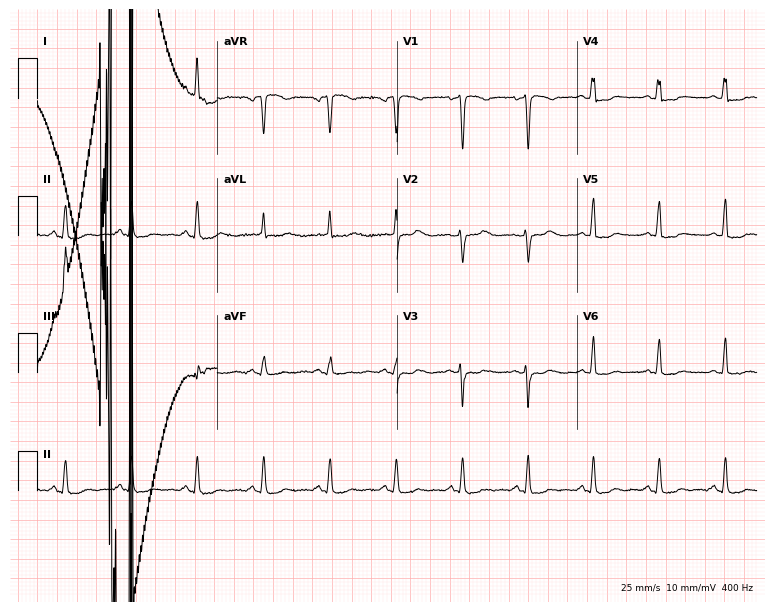
Standard 12-lead ECG recorded from a 64-year-old female patient. None of these six findings is recorded: first-degree AV block, right bundle branch block, left bundle branch block, sinus bradycardia, atrial fibrillation, sinus tachycardia.